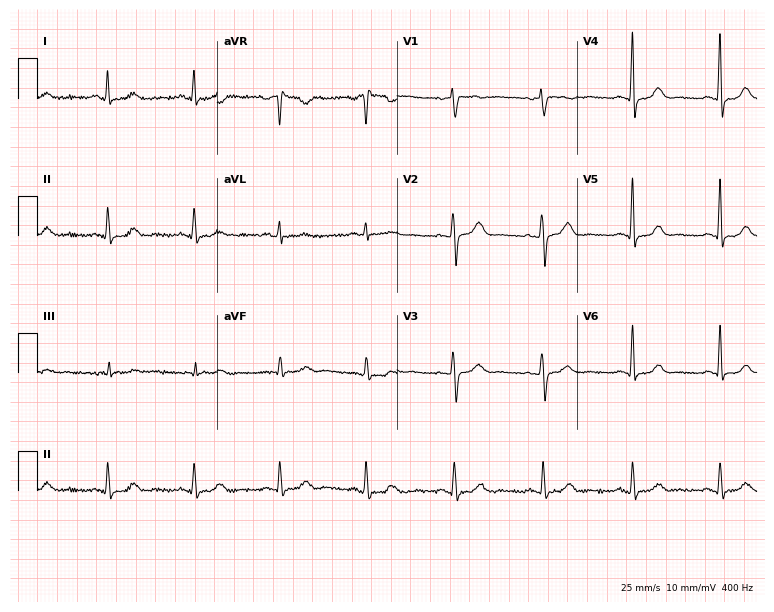
12-lead ECG from a female patient, 52 years old. Labelled as a normal ECG.